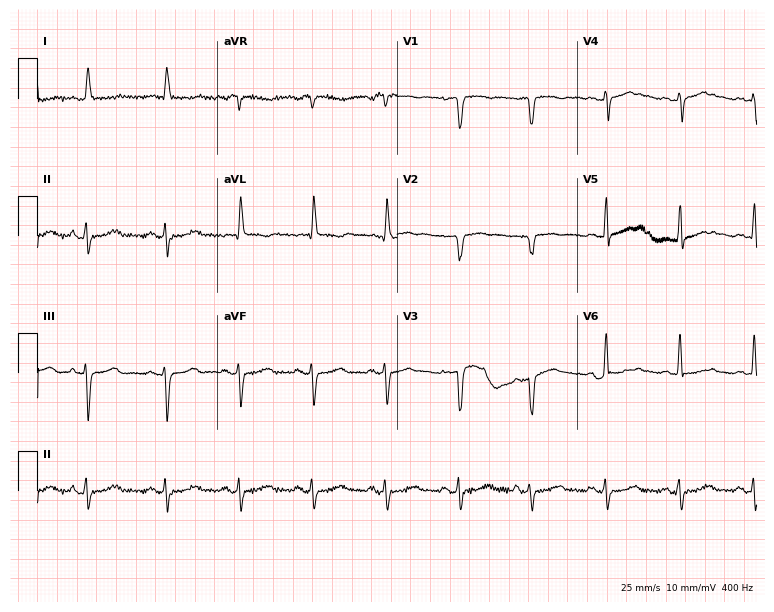
Electrocardiogram, a female patient, 77 years old. Of the six screened findings (first-degree AV block, right bundle branch block, left bundle branch block, sinus bradycardia, atrial fibrillation, sinus tachycardia), none is recorded.